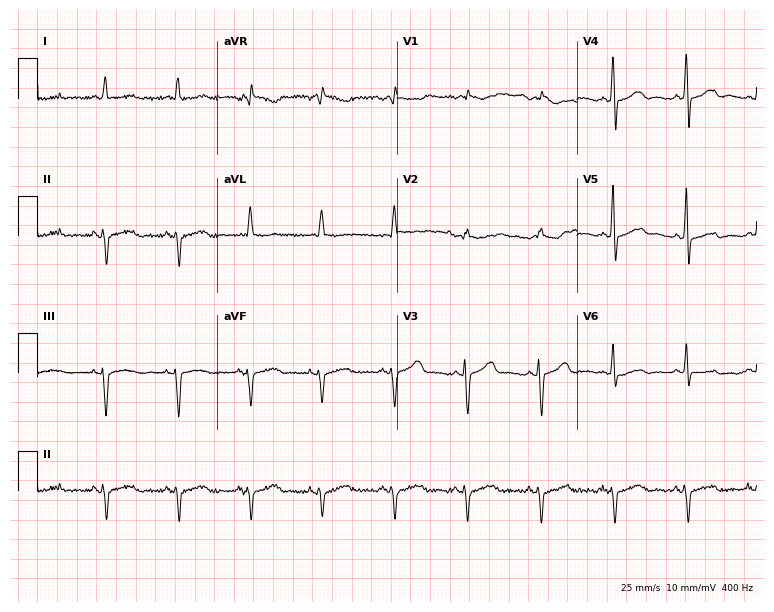
ECG (7.3-second recording at 400 Hz) — a female patient, 72 years old. Screened for six findings — first-degree AV block, right bundle branch block, left bundle branch block, sinus bradycardia, atrial fibrillation, sinus tachycardia — none is recorded.